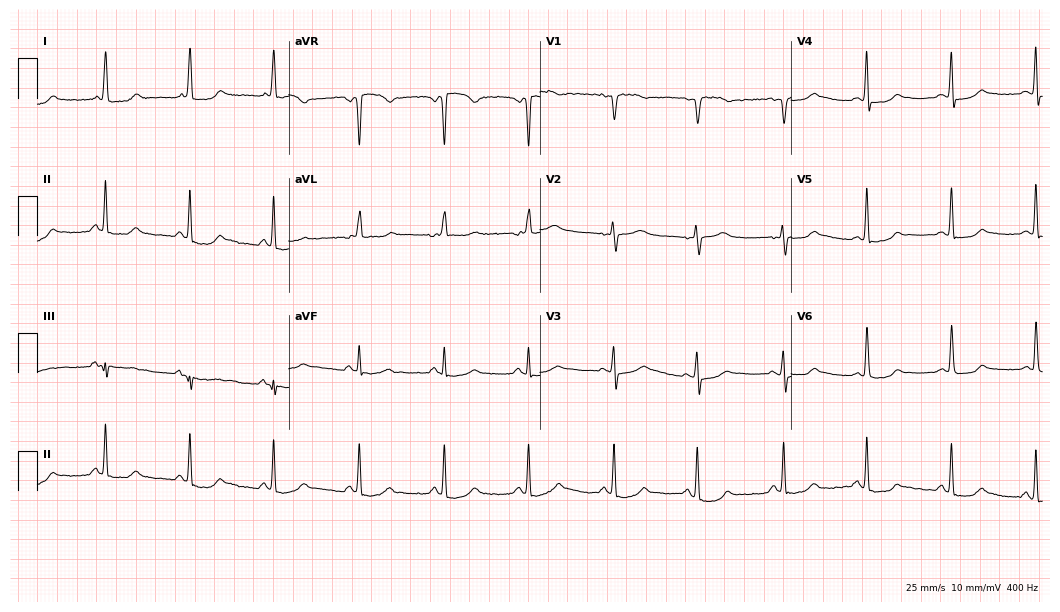
Resting 12-lead electrocardiogram. Patient: a woman, 43 years old. Read as a normal ECG.